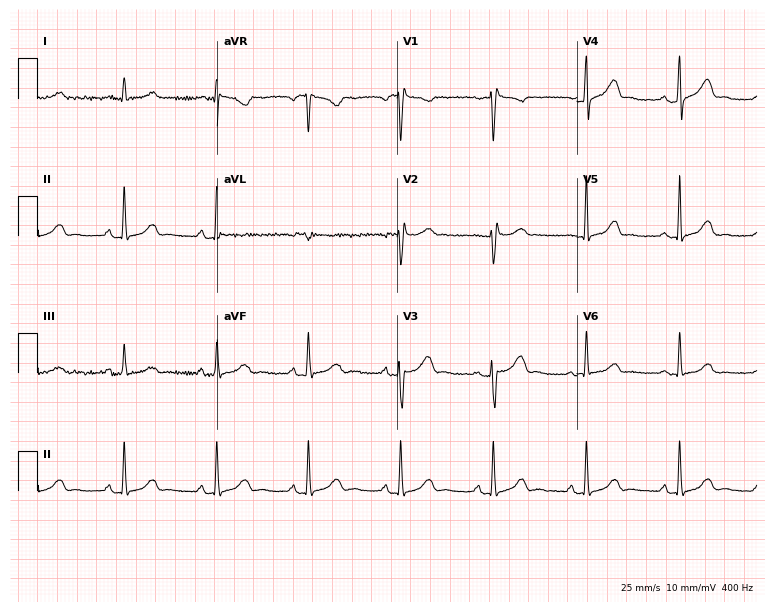
12-lead ECG from a 52-year-old female. Screened for six findings — first-degree AV block, right bundle branch block, left bundle branch block, sinus bradycardia, atrial fibrillation, sinus tachycardia — none is recorded. Other findings, if any, are not listed.